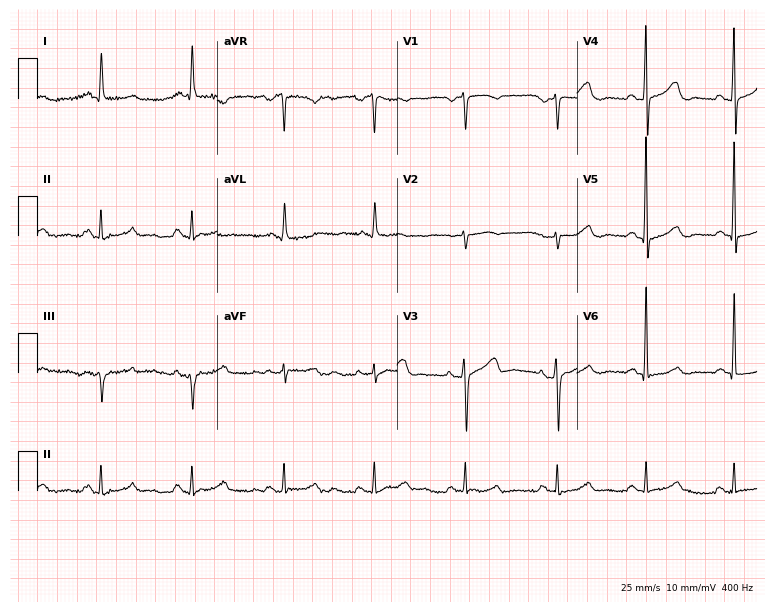
Resting 12-lead electrocardiogram. Patient: a 75-year-old woman. None of these six findings is recorded: first-degree AV block, right bundle branch block (RBBB), left bundle branch block (LBBB), sinus bradycardia, atrial fibrillation (AF), sinus tachycardia.